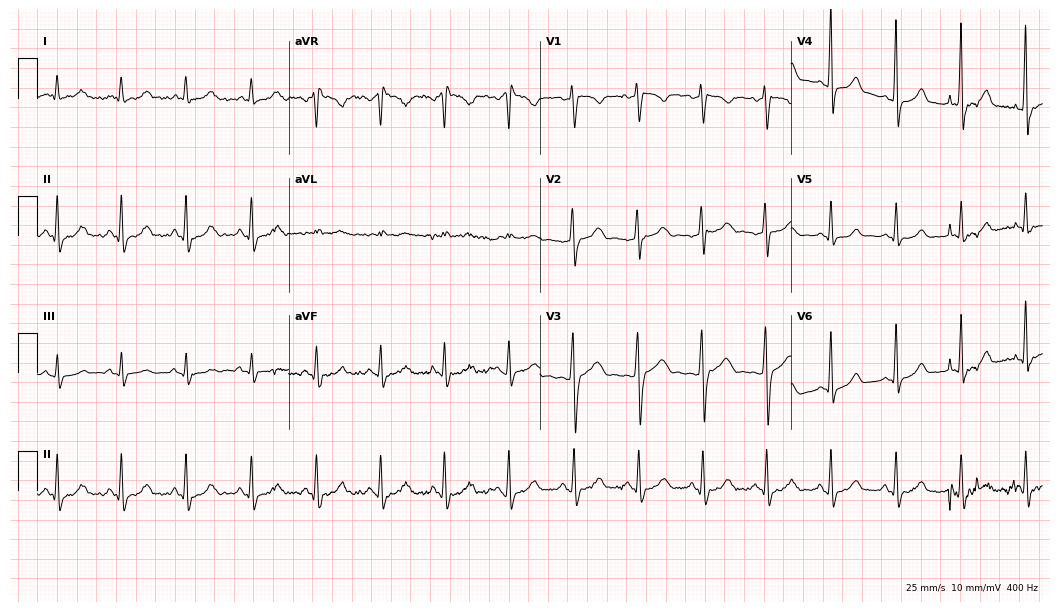
Standard 12-lead ECG recorded from a male, 27 years old. None of these six findings is recorded: first-degree AV block, right bundle branch block (RBBB), left bundle branch block (LBBB), sinus bradycardia, atrial fibrillation (AF), sinus tachycardia.